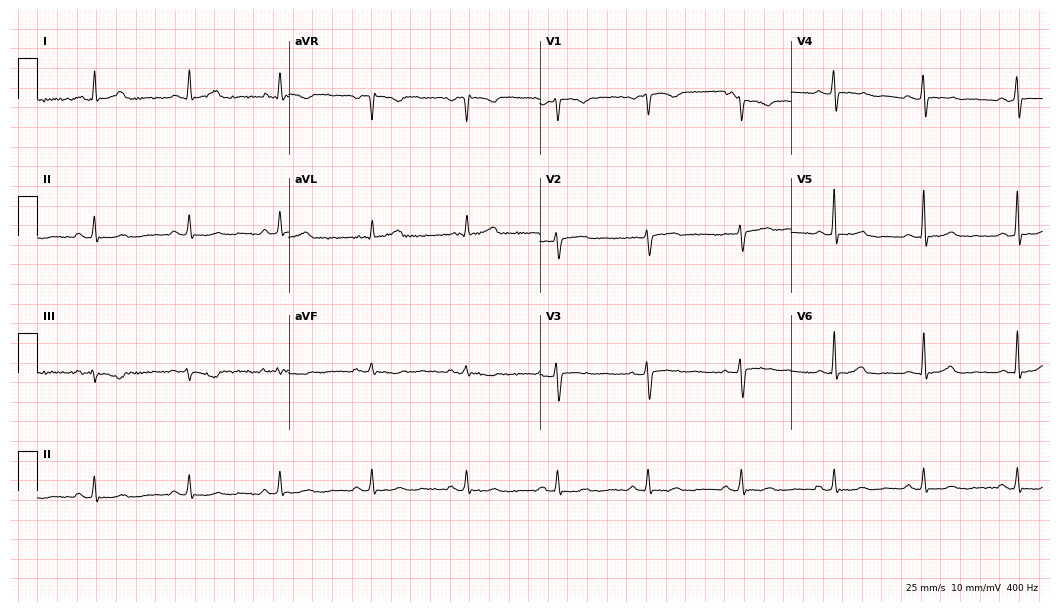
Electrocardiogram, a 60-year-old woman. Of the six screened findings (first-degree AV block, right bundle branch block, left bundle branch block, sinus bradycardia, atrial fibrillation, sinus tachycardia), none is recorded.